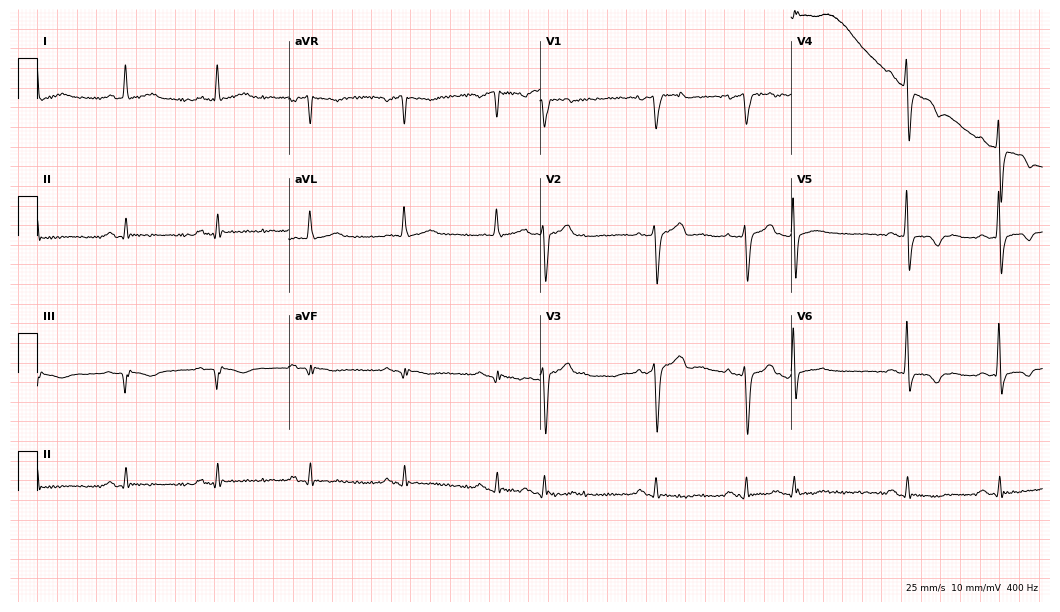
12-lead ECG from a male patient, 66 years old. Screened for six findings — first-degree AV block, right bundle branch block, left bundle branch block, sinus bradycardia, atrial fibrillation, sinus tachycardia — none is recorded.